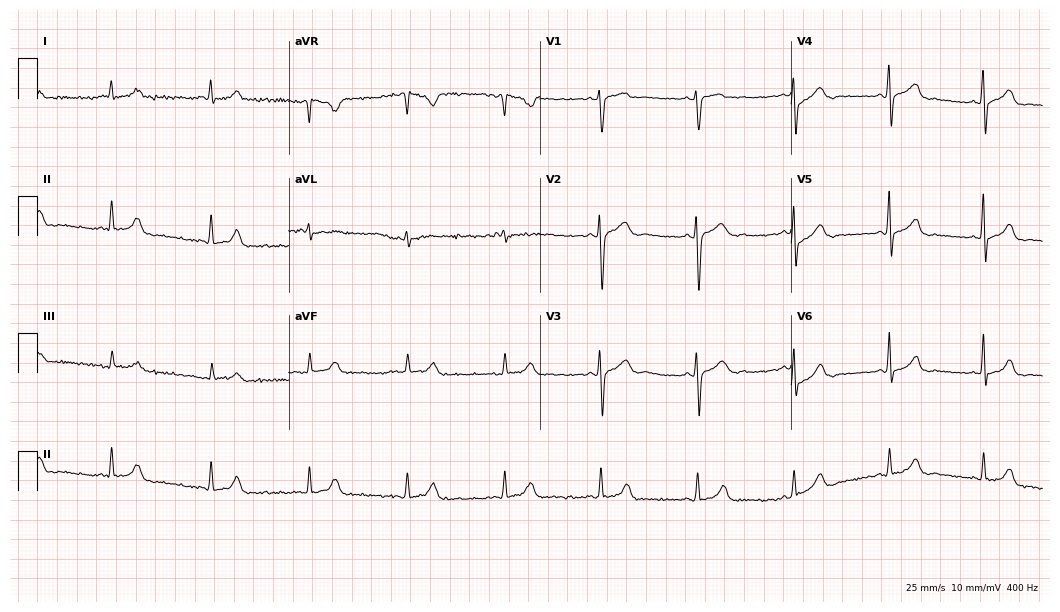
ECG (10.2-second recording at 400 Hz) — a 51-year-old female. Screened for six findings — first-degree AV block, right bundle branch block, left bundle branch block, sinus bradycardia, atrial fibrillation, sinus tachycardia — none is recorded.